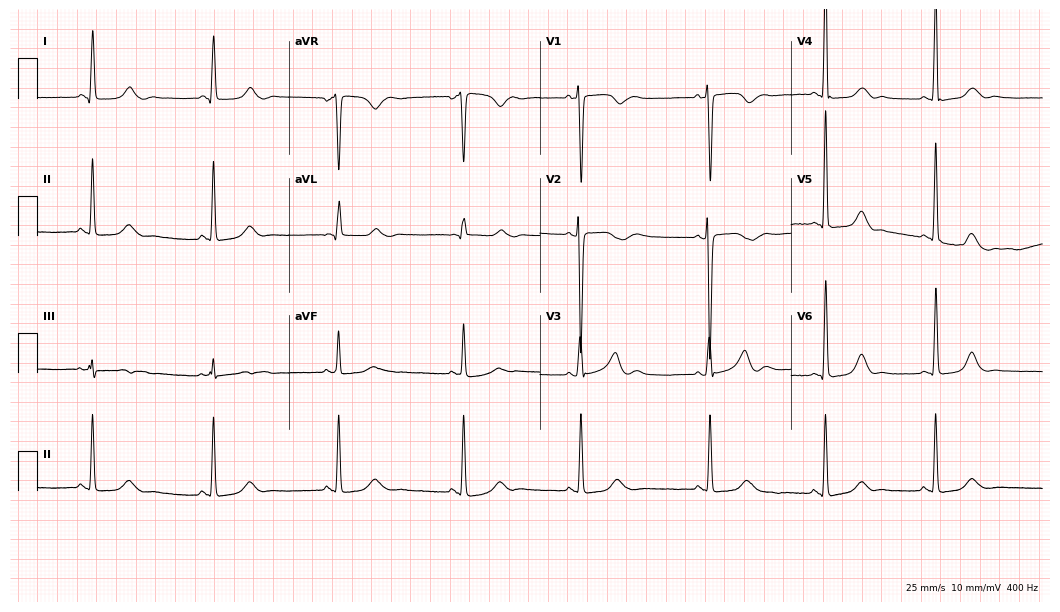
12-lead ECG from a 20-year-old female (10.2-second recording at 400 Hz). Shows sinus bradycardia (a sinus rate of 50 beats per minute or less).